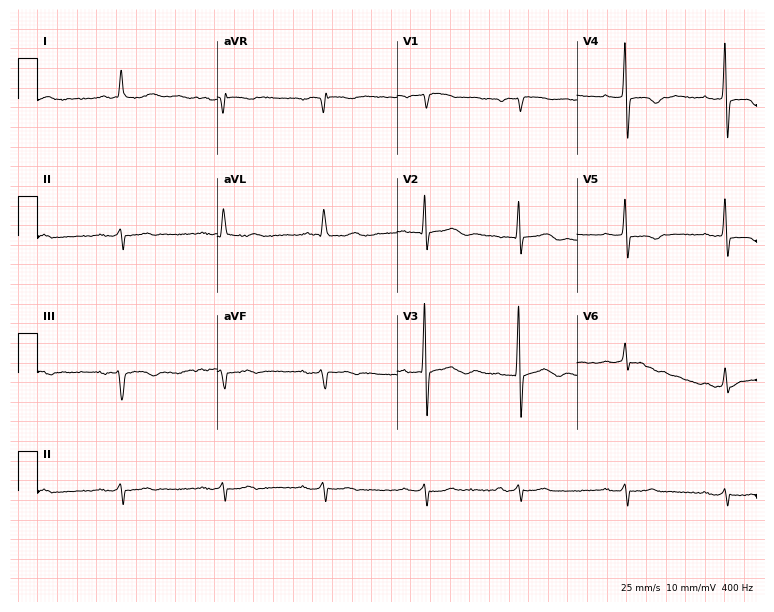
Electrocardiogram, a male, 82 years old. Of the six screened findings (first-degree AV block, right bundle branch block, left bundle branch block, sinus bradycardia, atrial fibrillation, sinus tachycardia), none is recorded. Only these six findings were labelled.